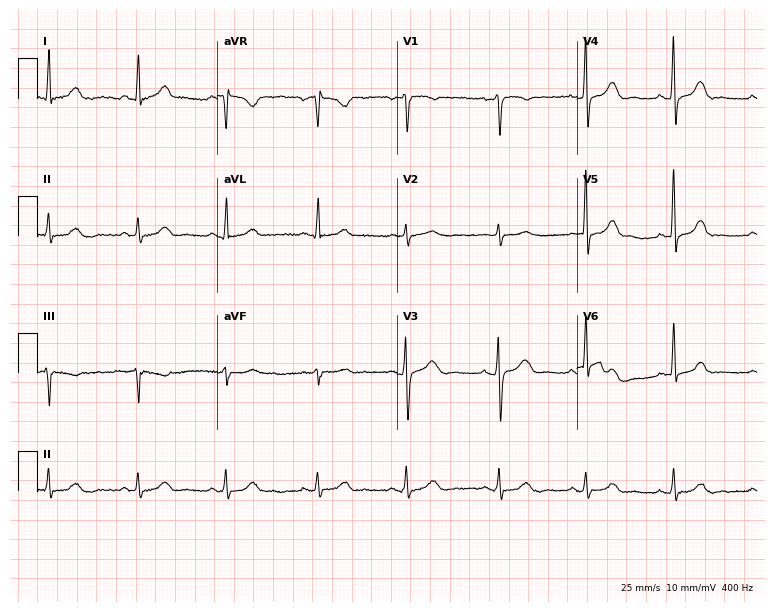
12-lead ECG from a woman, 50 years old. Recorded interpretation: within normal limits.